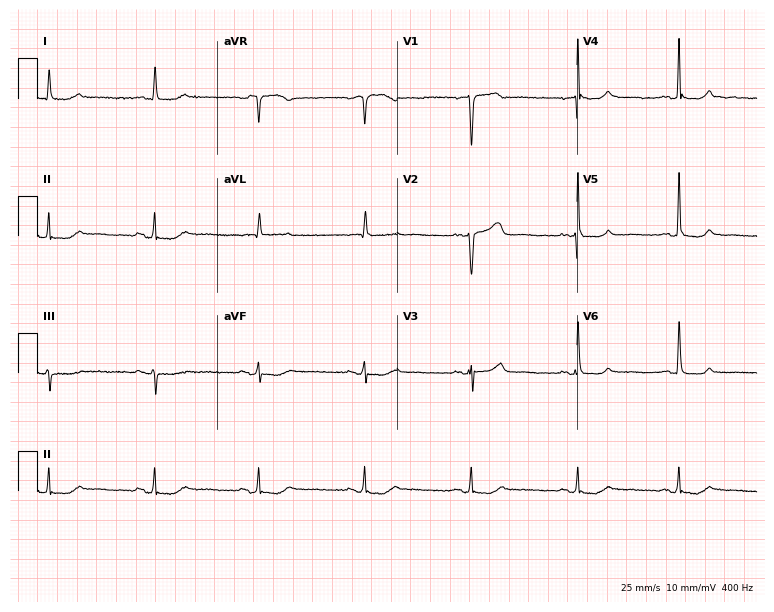
12-lead ECG from a 76-year-old female. Labelled as a normal ECG.